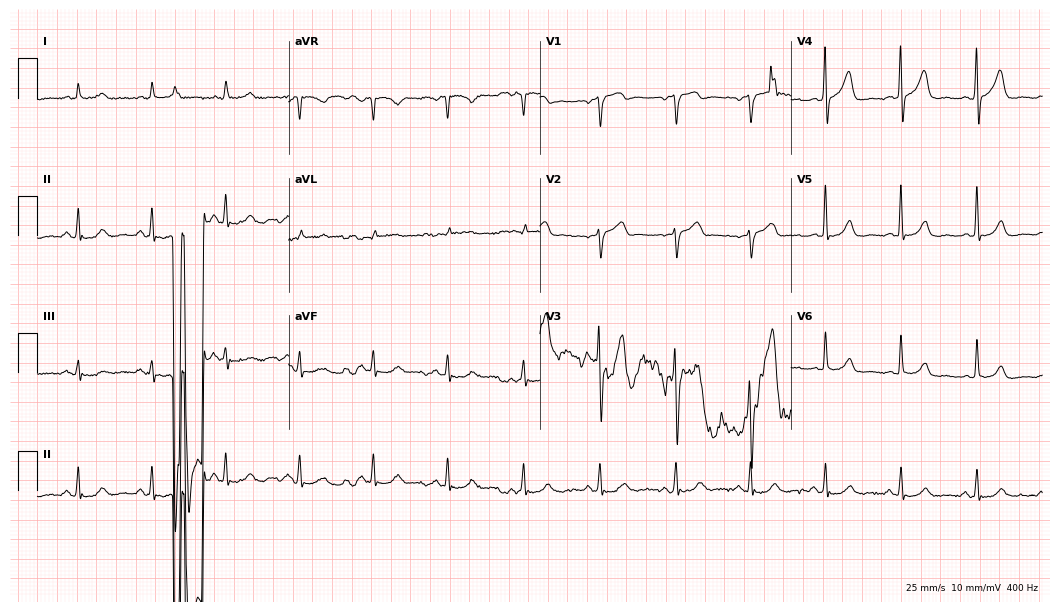
12-lead ECG from a 66-year-old man (10.2-second recording at 400 Hz). No first-degree AV block, right bundle branch block (RBBB), left bundle branch block (LBBB), sinus bradycardia, atrial fibrillation (AF) or sinus tachycardia recorded for this tracing.